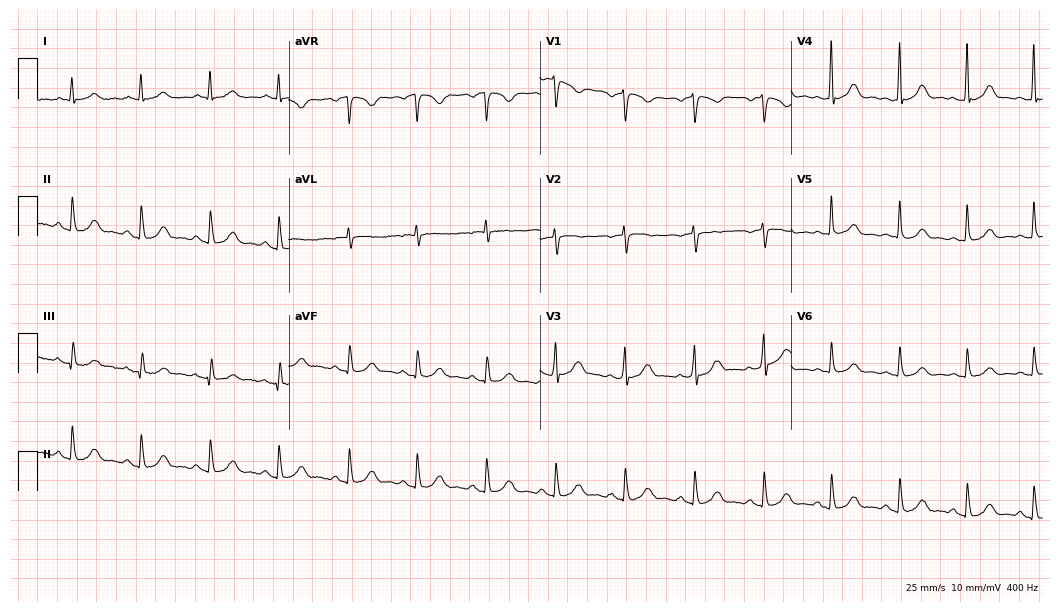
ECG — a male, 51 years old. Labelled as a normal ECG.